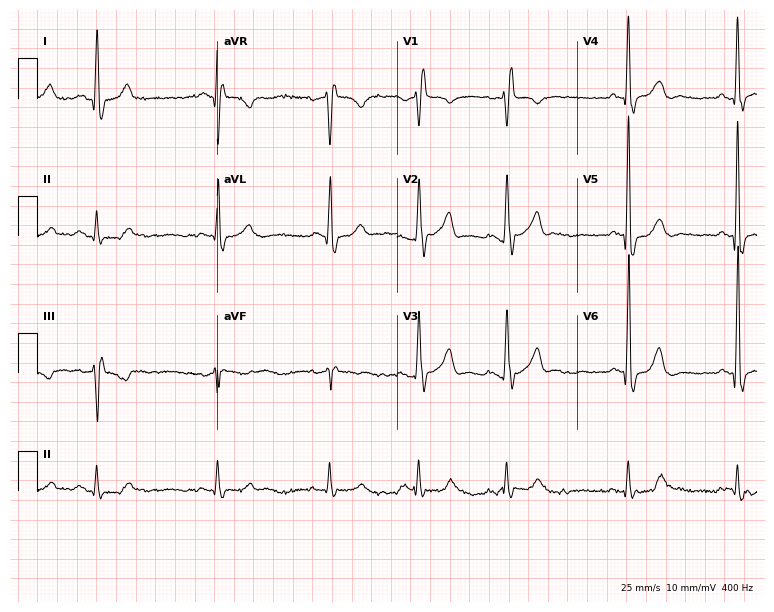
ECG (7.3-second recording at 400 Hz) — a man, 73 years old. Findings include right bundle branch block (RBBB).